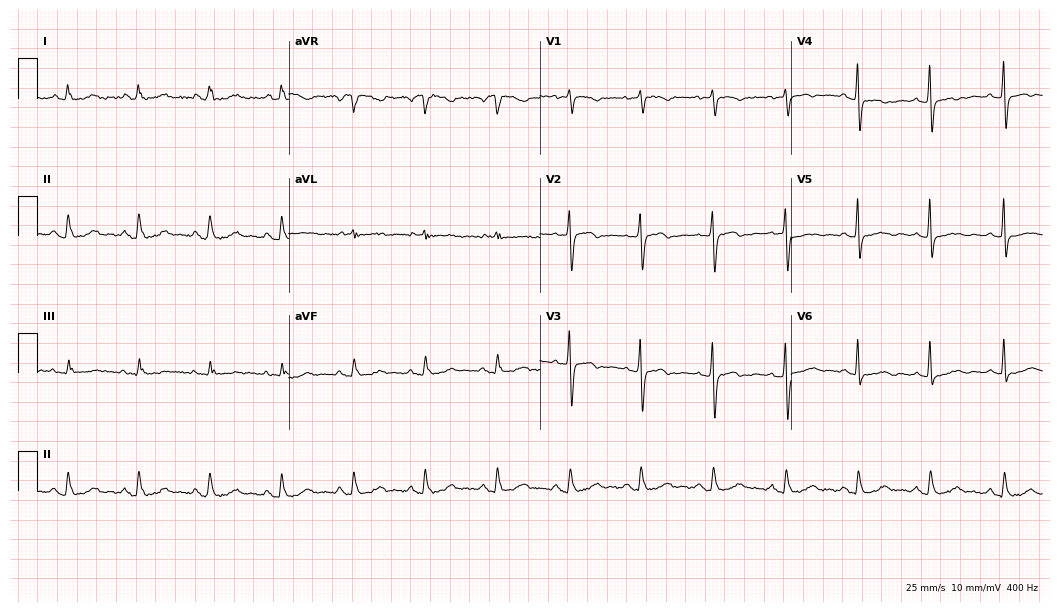
12-lead ECG (10.2-second recording at 400 Hz) from a 67-year-old female. Screened for six findings — first-degree AV block, right bundle branch block, left bundle branch block, sinus bradycardia, atrial fibrillation, sinus tachycardia — none is recorded. Other findings, if any, are not listed.